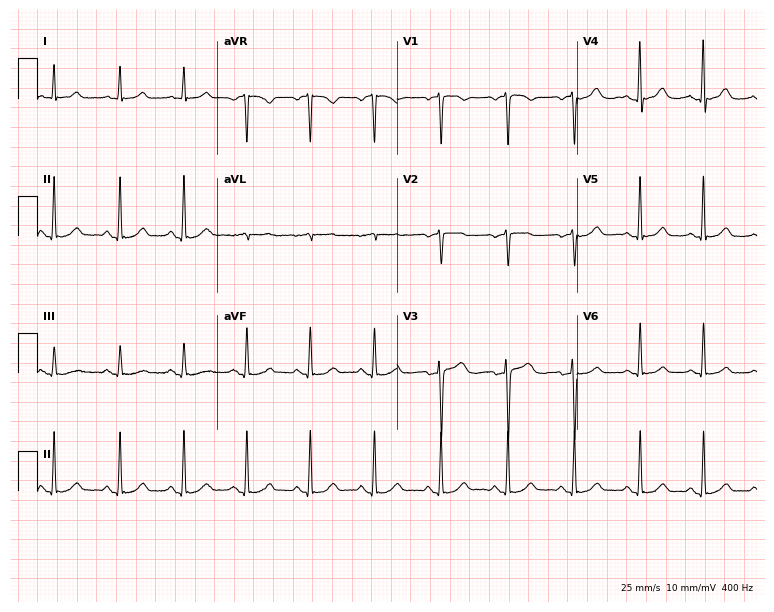
12-lead ECG from a 23-year-old female. Labelled as a normal ECG.